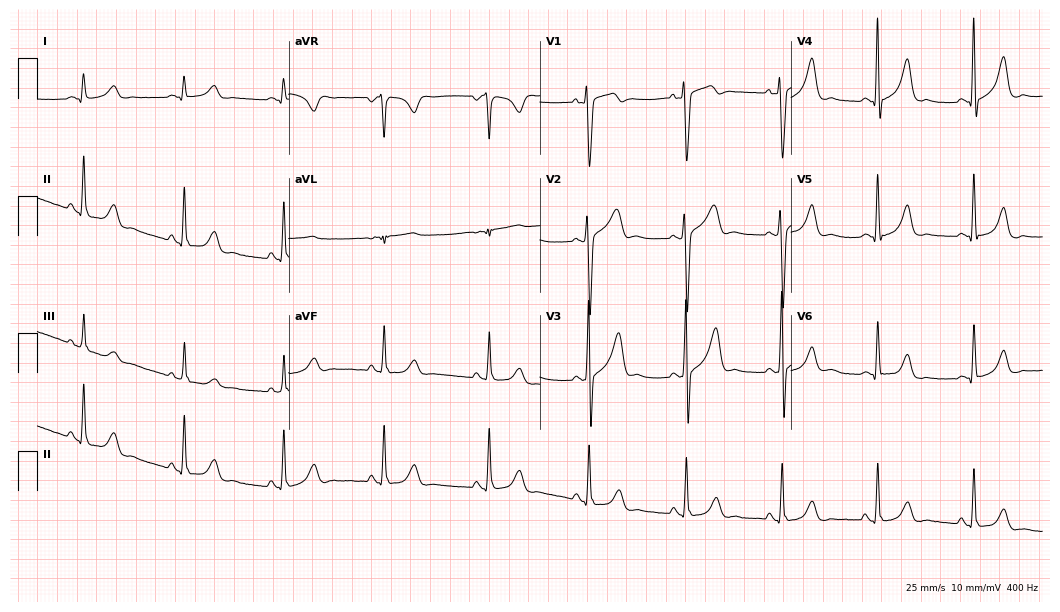
Electrocardiogram, a 37-year-old man. Overall reading on record: normal ECG.